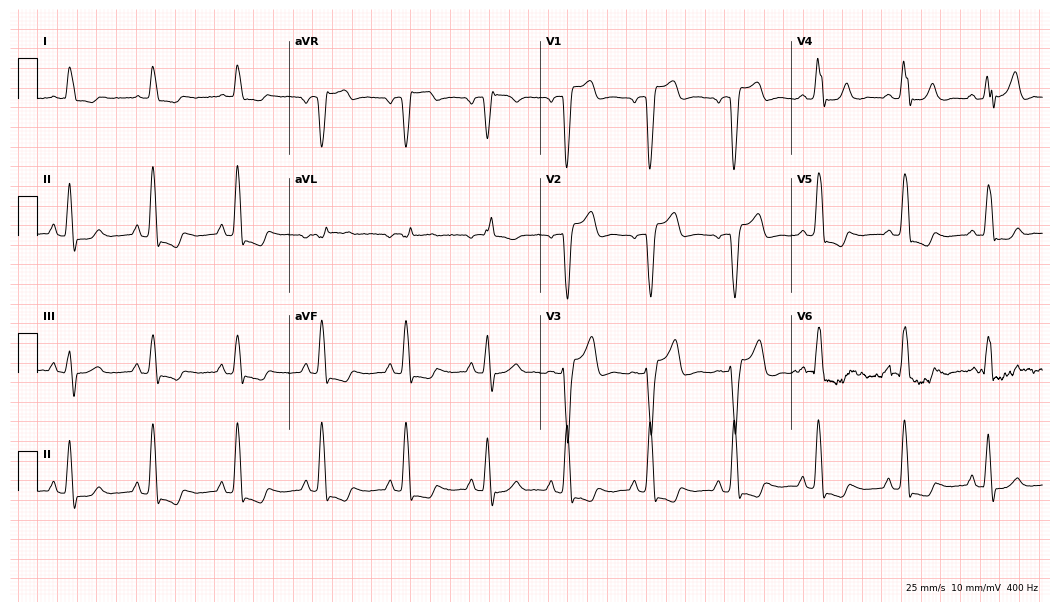
Electrocardiogram, an 80-year-old female patient. Interpretation includes left bundle branch block (LBBB).